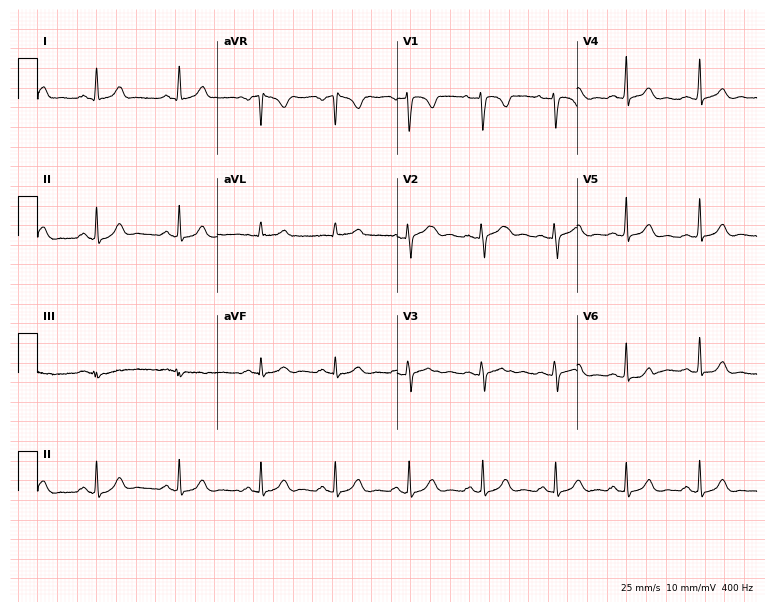
Resting 12-lead electrocardiogram. Patient: a 28-year-old female. Read as a normal ECG.